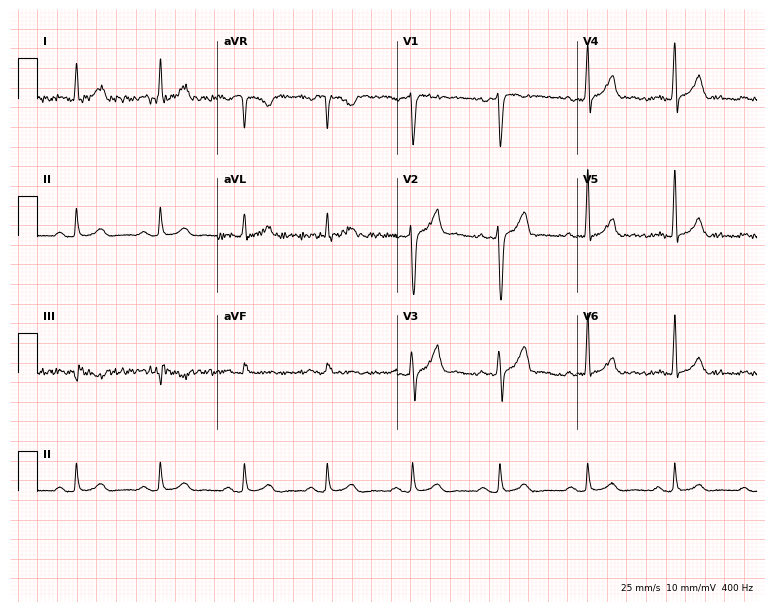
Electrocardiogram, a 50-year-old male patient. Of the six screened findings (first-degree AV block, right bundle branch block (RBBB), left bundle branch block (LBBB), sinus bradycardia, atrial fibrillation (AF), sinus tachycardia), none is recorded. Other findings, if any, are not listed.